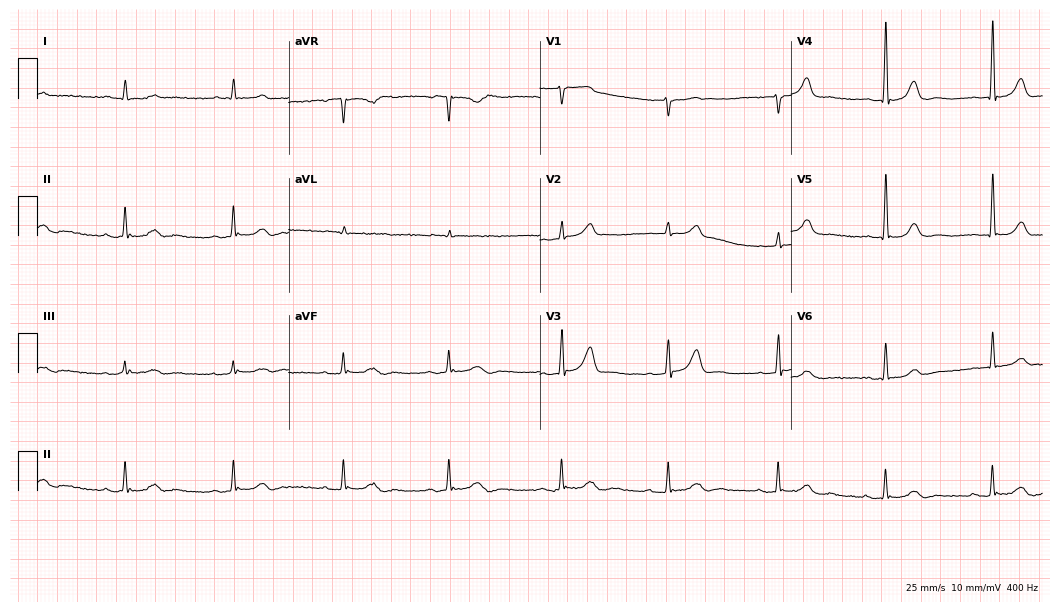
ECG (10.2-second recording at 400 Hz) — a male patient, 81 years old. Labelled as a normal ECG.